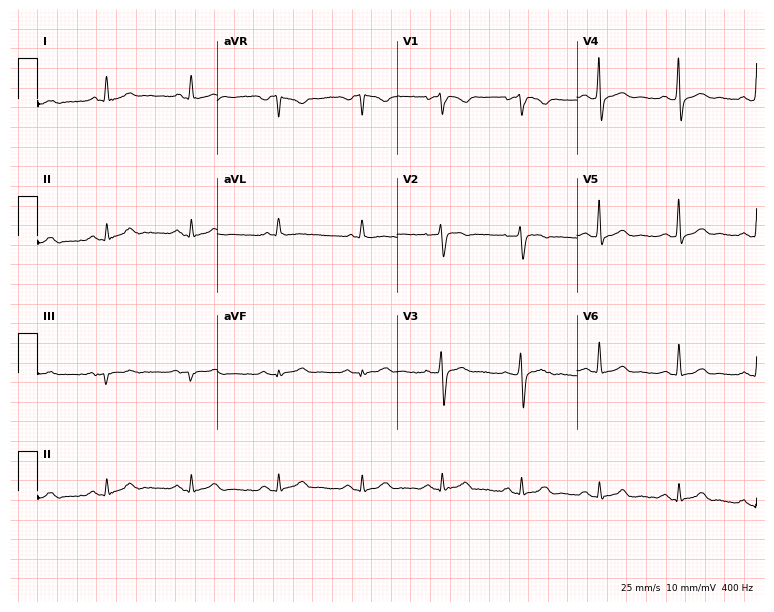
Electrocardiogram (7.3-second recording at 400 Hz), a male patient, 53 years old. Of the six screened findings (first-degree AV block, right bundle branch block (RBBB), left bundle branch block (LBBB), sinus bradycardia, atrial fibrillation (AF), sinus tachycardia), none is recorded.